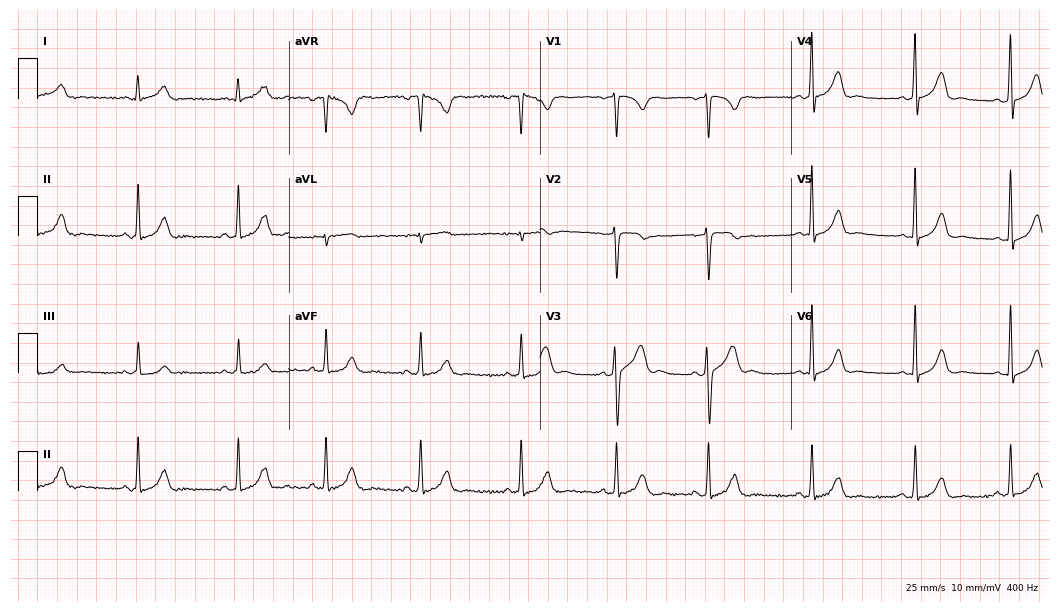
12-lead ECG from a 32-year-old male. Recorded interpretation: within normal limits.